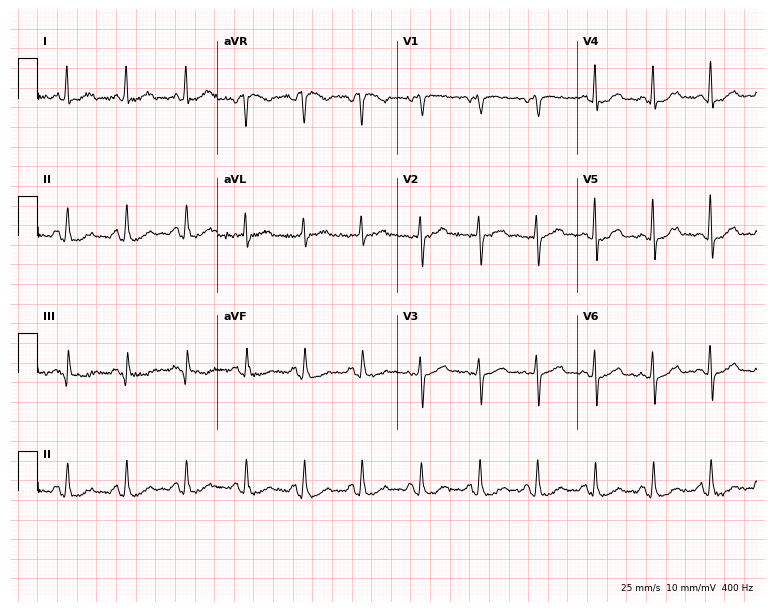
ECG (7.3-second recording at 400 Hz) — a female patient, 71 years old. Labelled as a normal ECG.